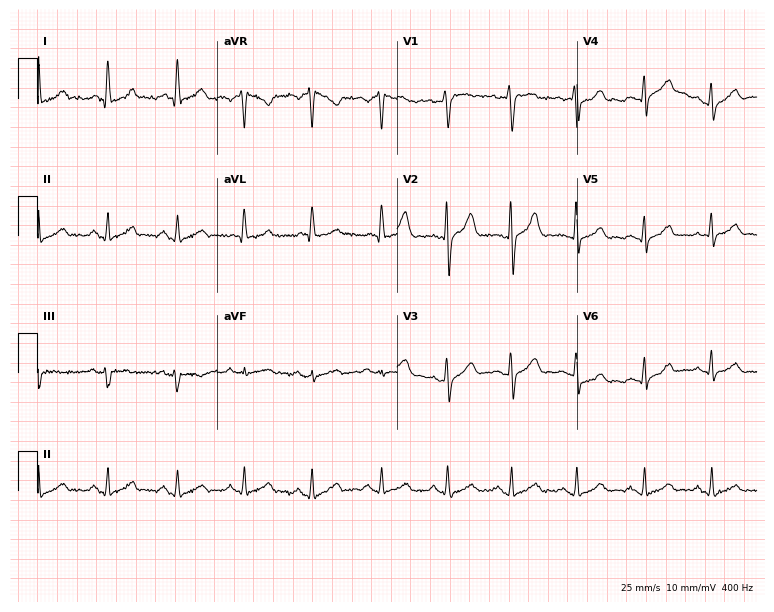
ECG (7.3-second recording at 400 Hz) — a woman, 42 years old. Screened for six findings — first-degree AV block, right bundle branch block (RBBB), left bundle branch block (LBBB), sinus bradycardia, atrial fibrillation (AF), sinus tachycardia — none is recorded. Other findings, if any, are not listed.